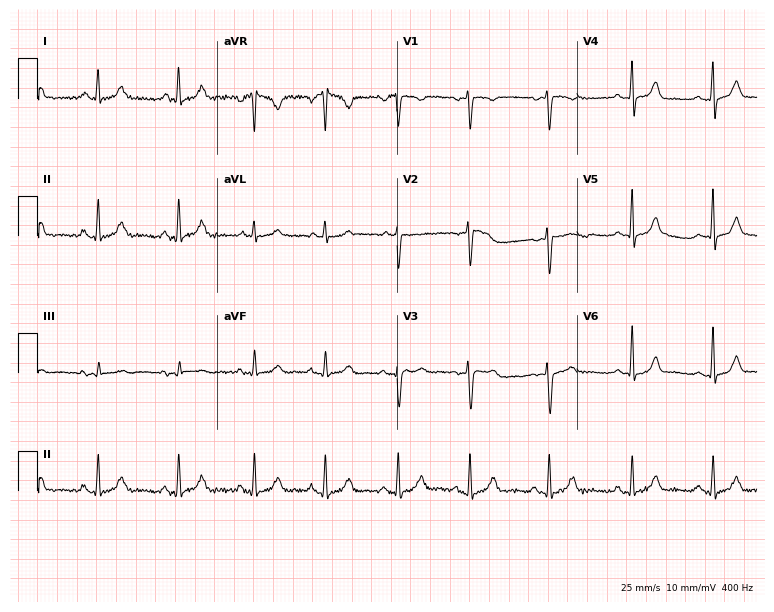
12-lead ECG (7.3-second recording at 400 Hz) from a 40-year-old female. Screened for six findings — first-degree AV block, right bundle branch block, left bundle branch block, sinus bradycardia, atrial fibrillation, sinus tachycardia — none is recorded. Findings outside these six are not listed.